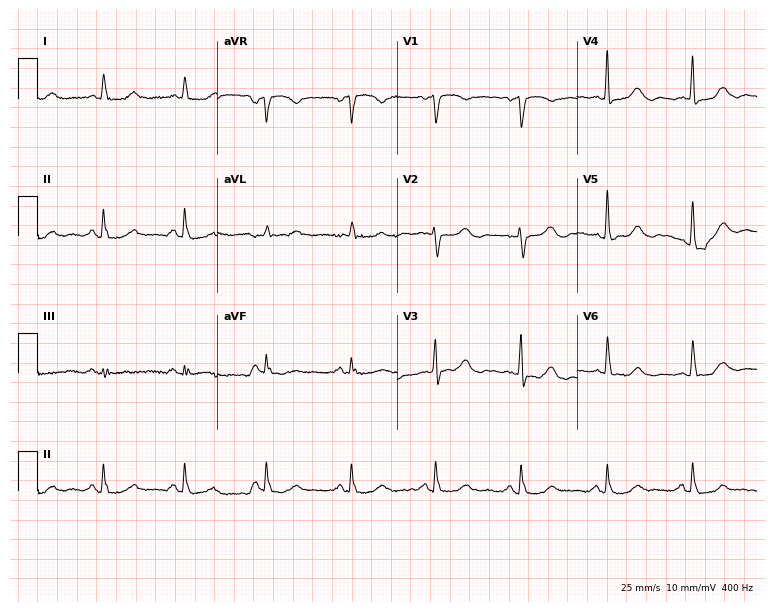
12-lead ECG from a 74-year-old female patient (7.3-second recording at 400 Hz). No first-degree AV block, right bundle branch block, left bundle branch block, sinus bradycardia, atrial fibrillation or sinus tachycardia recorded for this tracing. Findings outside these six are not listed.